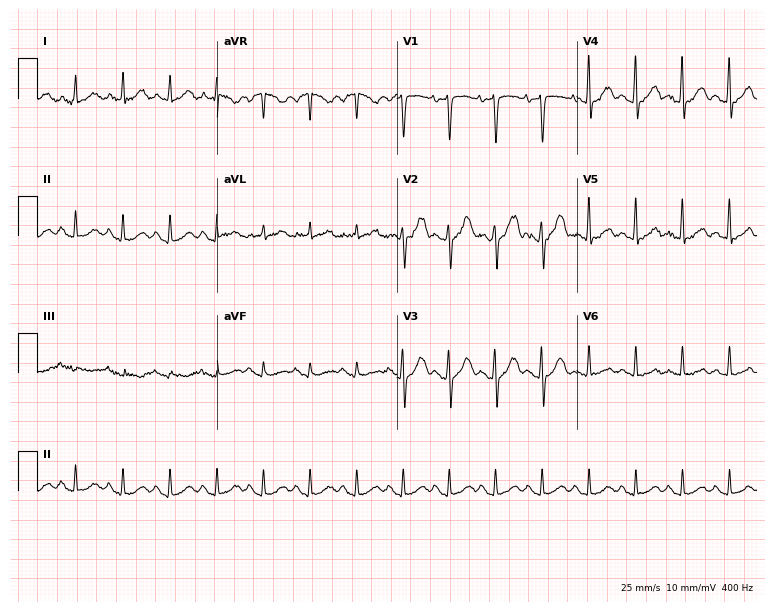
Electrocardiogram (7.3-second recording at 400 Hz), a male patient, 39 years old. Interpretation includes sinus tachycardia (a sinus rate of 100 beats per minute or more).